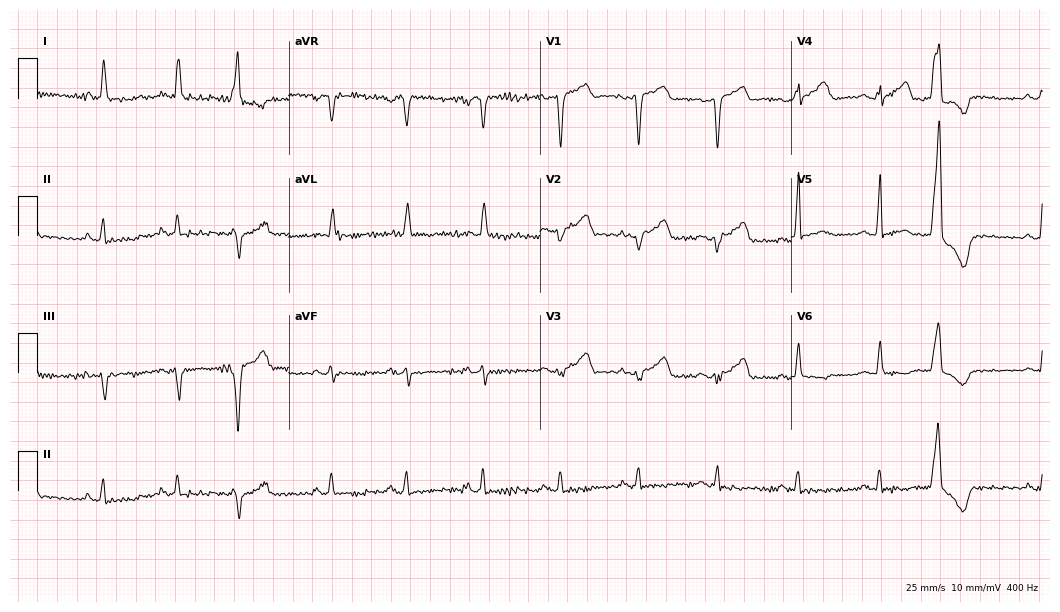
12-lead ECG from a 56-year-old man. No first-degree AV block, right bundle branch block (RBBB), left bundle branch block (LBBB), sinus bradycardia, atrial fibrillation (AF) or sinus tachycardia recorded for this tracing.